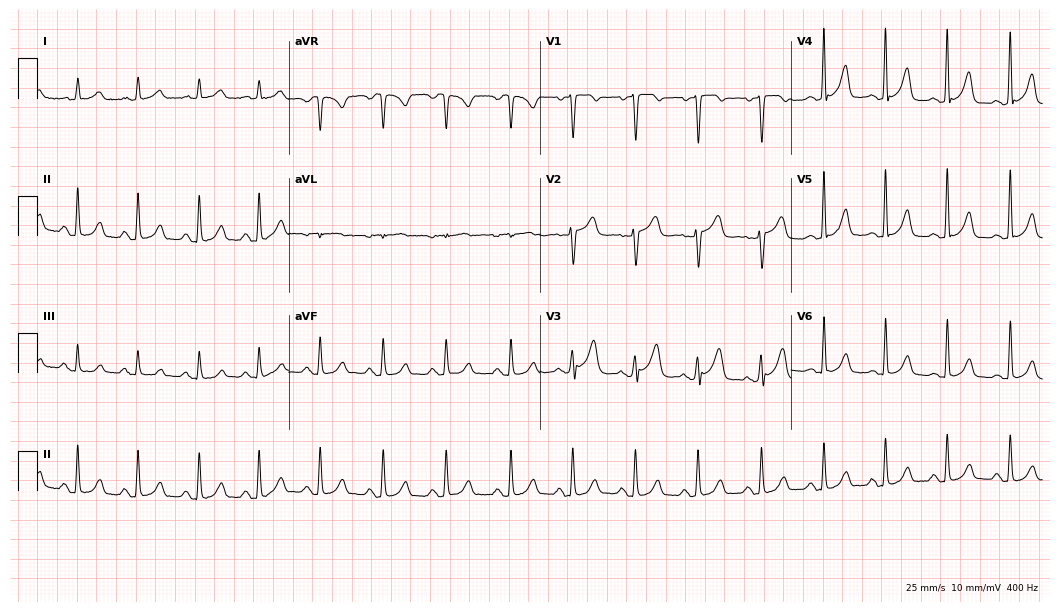
12-lead ECG from a woman, 75 years old. Screened for six findings — first-degree AV block, right bundle branch block, left bundle branch block, sinus bradycardia, atrial fibrillation, sinus tachycardia — none is recorded. Findings outside these six are not listed.